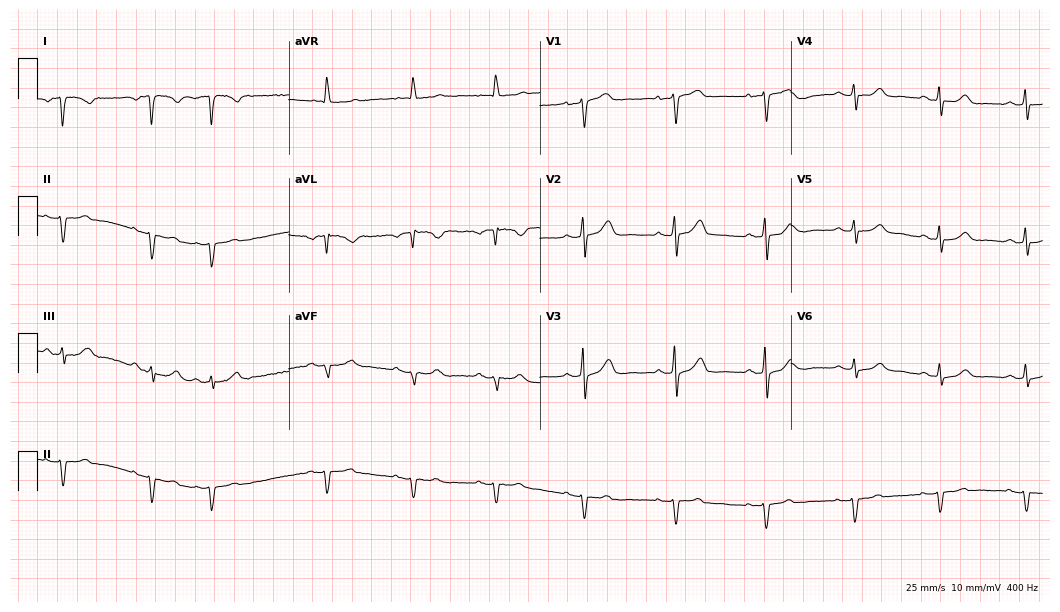
Electrocardiogram (10.2-second recording at 400 Hz), a female patient, 69 years old. Of the six screened findings (first-degree AV block, right bundle branch block, left bundle branch block, sinus bradycardia, atrial fibrillation, sinus tachycardia), none is recorded.